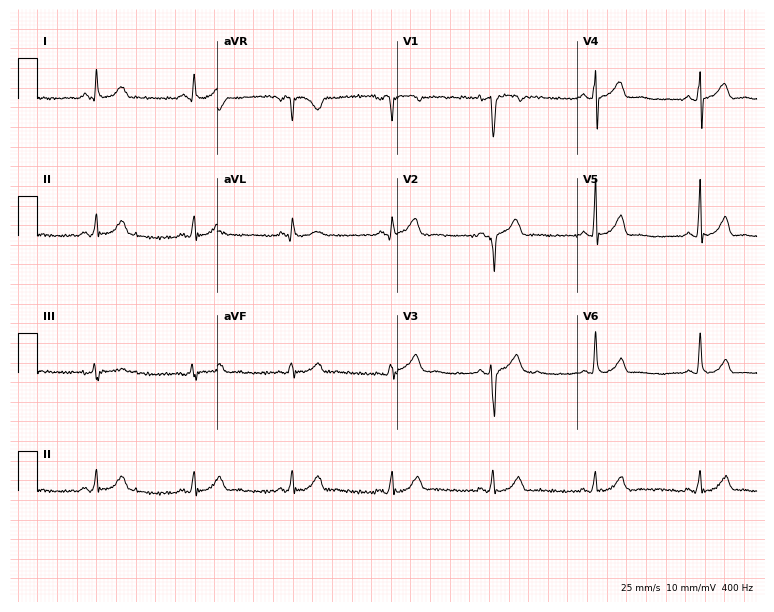
Standard 12-lead ECG recorded from a male, 39 years old (7.3-second recording at 400 Hz). Read as a normal ECG.